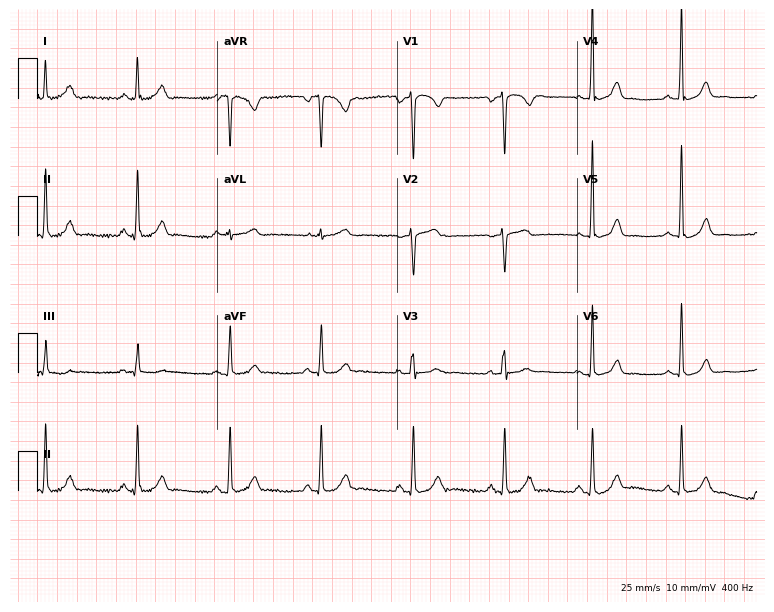
12-lead ECG from a 52-year-old woman. No first-degree AV block, right bundle branch block (RBBB), left bundle branch block (LBBB), sinus bradycardia, atrial fibrillation (AF) or sinus tachycardia recorded for this tracing. Only these six findings were labelled.